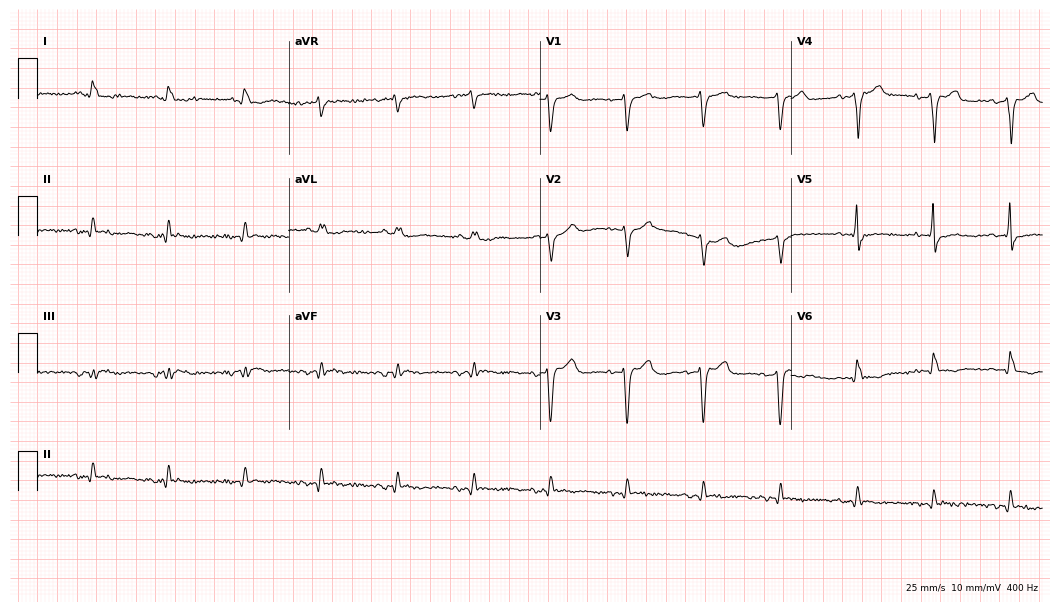
Resting 12-lead electrocardiogram (10.2-second recording at 400 Hz). Patient: a 77-year-old female. None of these six findings is recorded: first-degree AV block, right bundle branch block, left bundle branch block, sinus bradycardia, atrial fibrillation, sinus tachycardia. Only these six findings were labelled.